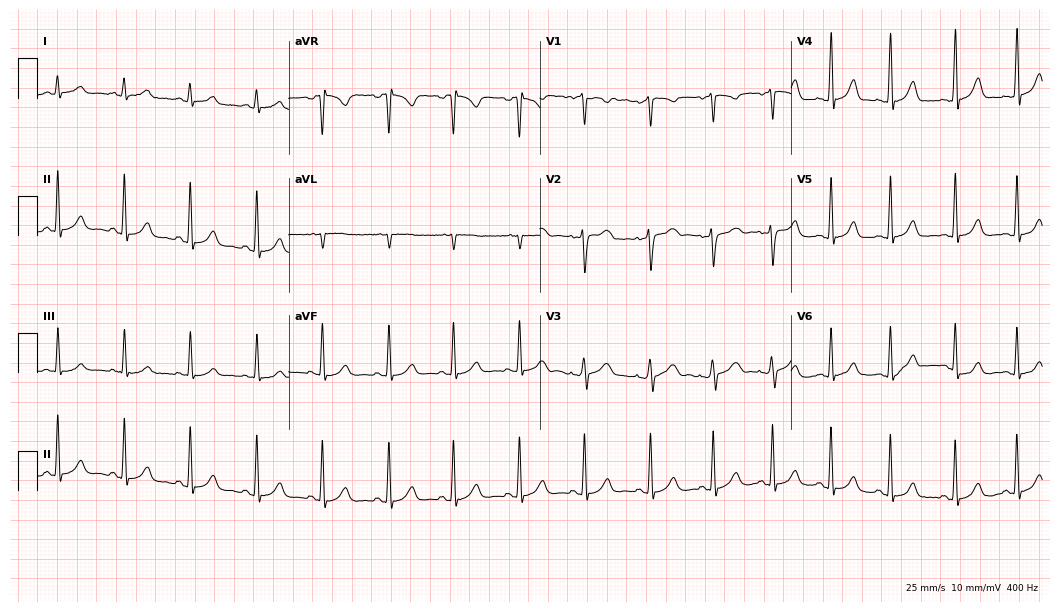
12-lead ECG from a woman, 35 years old. Recorded interpretation: within normal limits.